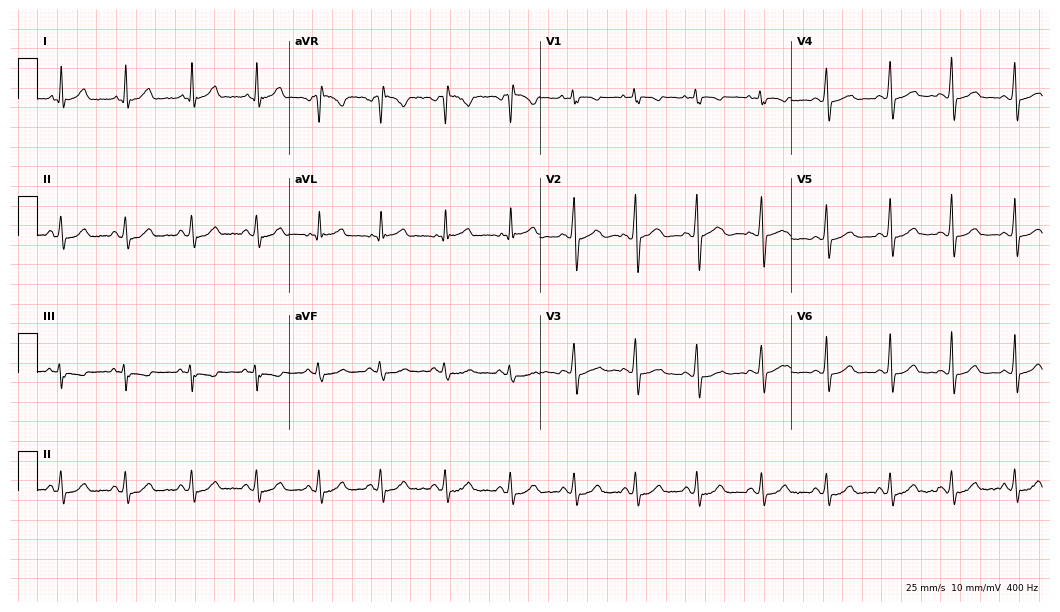
12-lead ECG from a female, 27 years old (10.2-second recording at 400 Hz). Recorded interpretation: within normal limits.